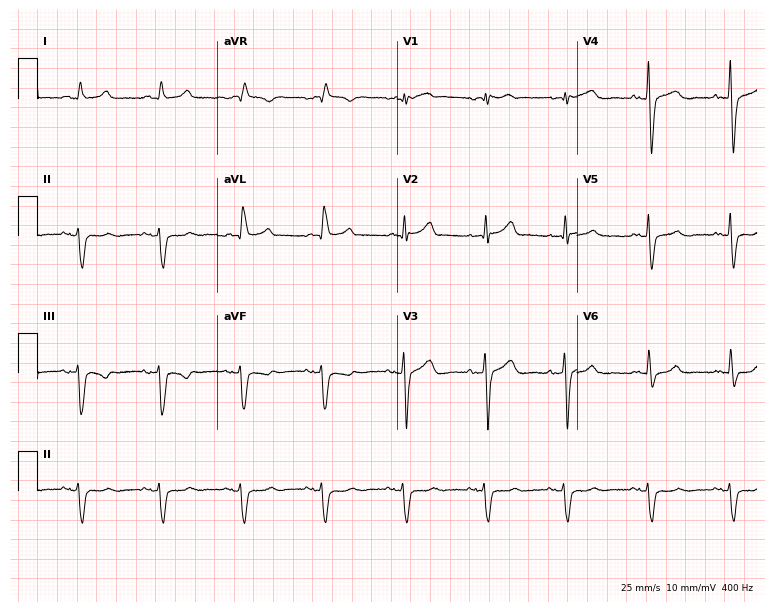
12-lead ECG from a male patient, 69 years old. No first-degree AV block, right bundle branch block (RBBB), left bundle branch block (LBBB), sinus bradycardia, atrial fibrillation (AF) or sinus tachycardia recorded for this tracing. Only these six findings were labelled.